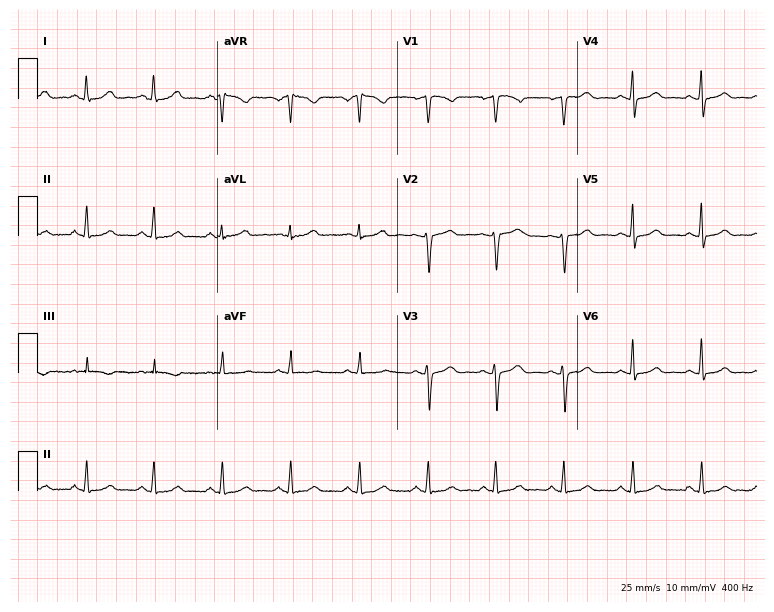
12-lead ECG (7.3-second recording at 400 Hz) from a woman, 32 years old. Labelled as a normal ECG.